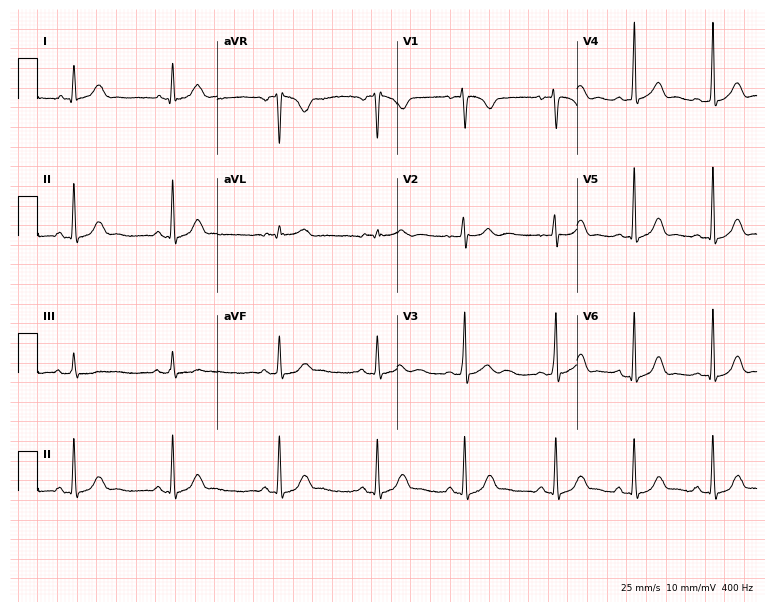
Resting 12-lead electrocardiogram (7.3-second recording at 400 Hz). Patient: a woman, 33 years old. Read as a normal ECG.